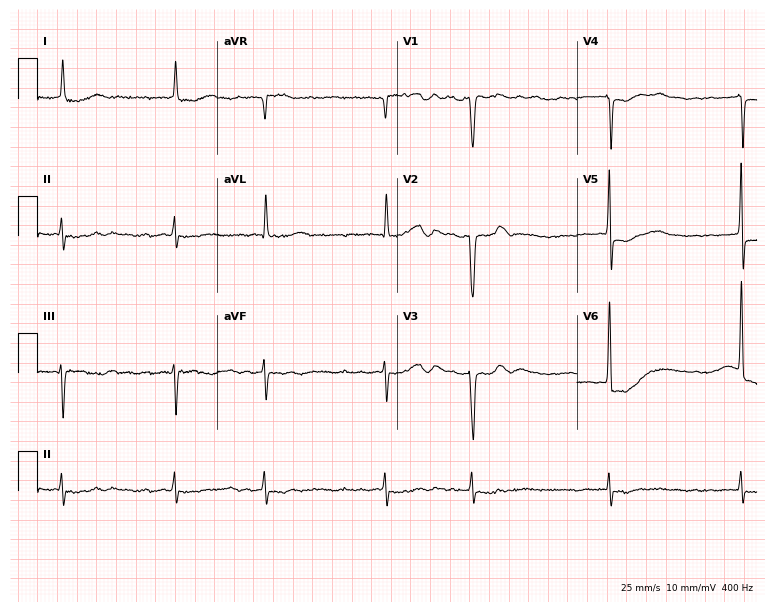
12-lead ECG from a female, 87 years old. Shows atrial fibrillation.